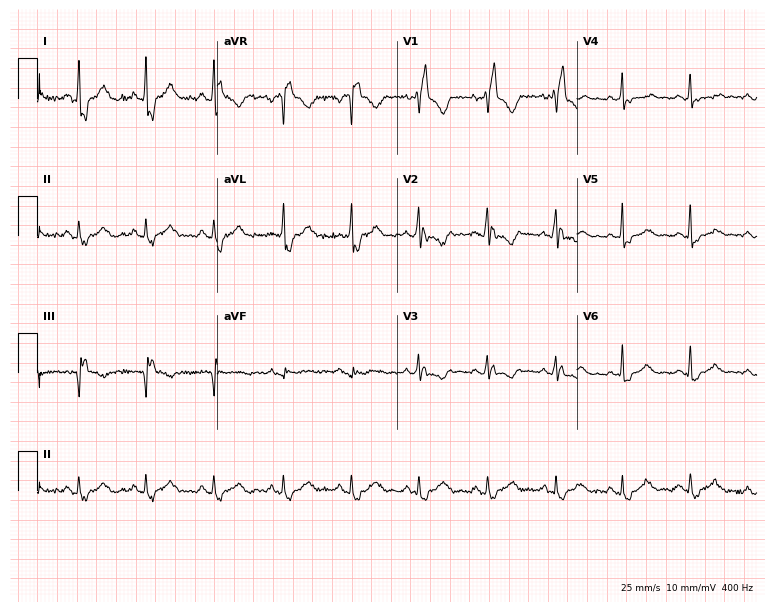
ECG — a female patient, 45 years old. Findings include right bundle branch block.